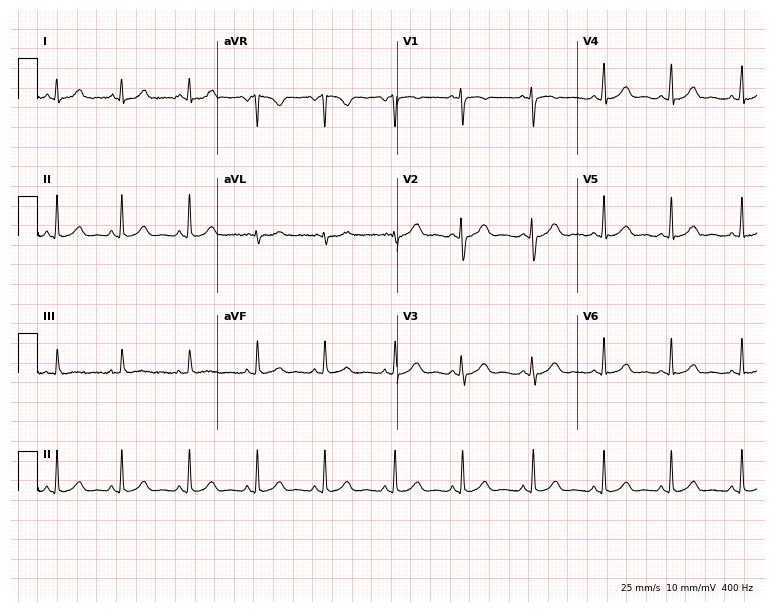
Resting 12-lead electrocardiogram. Patient: a 22-year-old woman. None of these six findings is recorded: first-degree AV block, right bundle branch block (RBBB), left bundle branch block (LBBB), sinus bradycardia, atrial fibrillation (AF), sinus tachycardia.